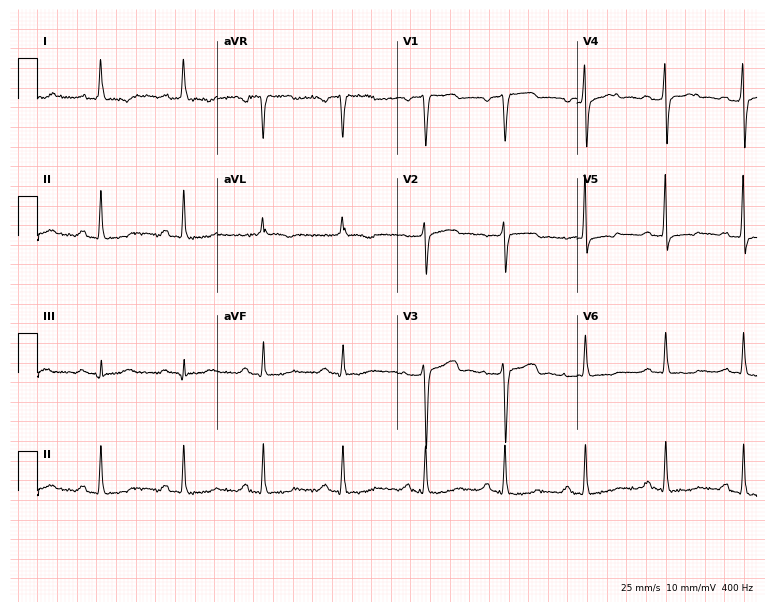
Standard 12-lead ECG recorded from a 71-year-old female (7.3-second recording at 400 Hz). Read as a normal ECG.